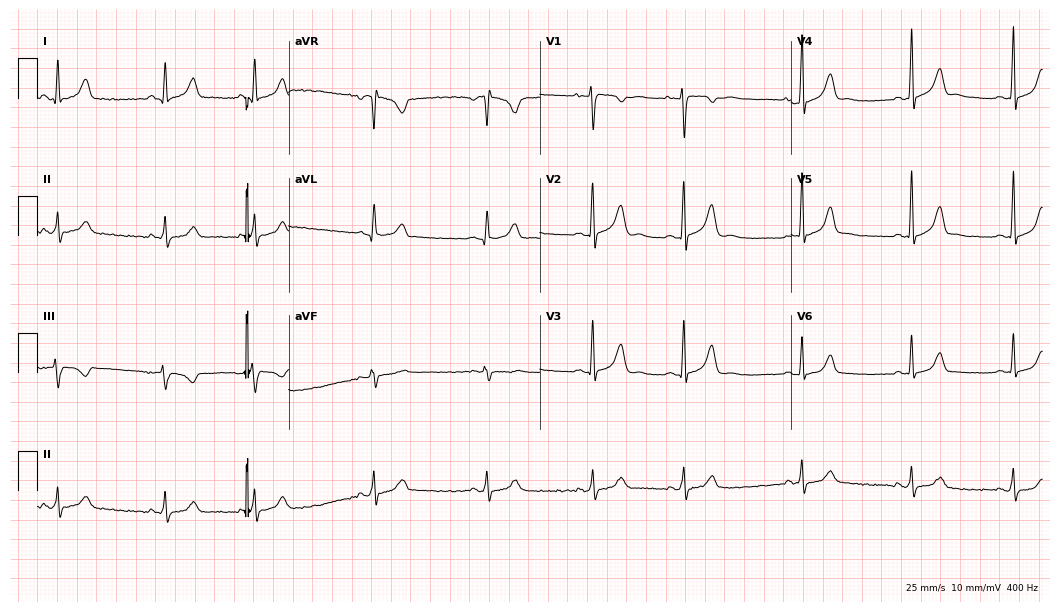
12-lead ECG from a 30-year-old female (10.2-second recording at 400 Hz). Recorded interpretation: within normal limits.